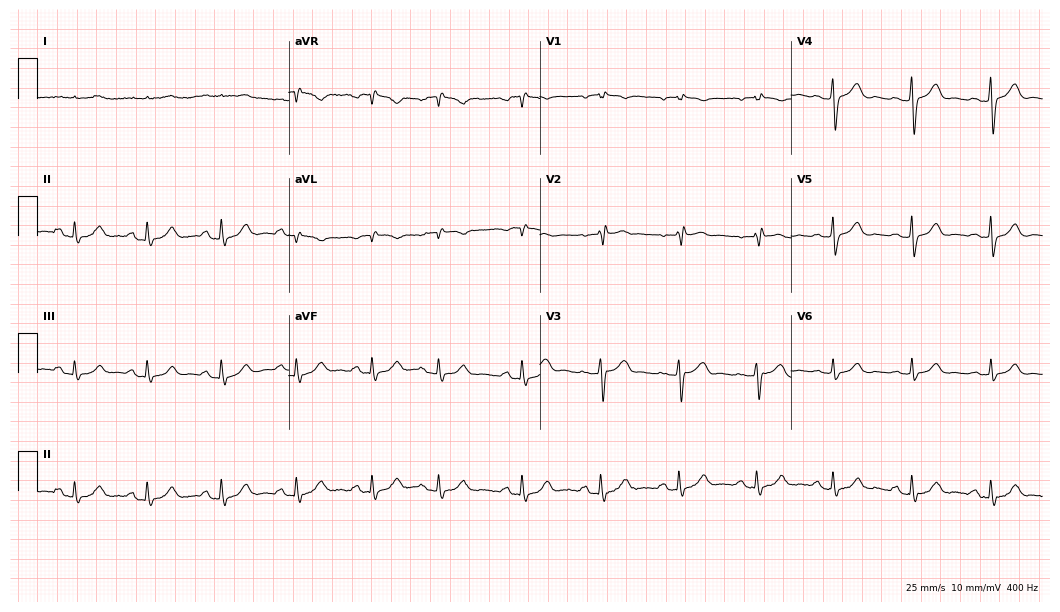
12-lead ECG from a male, 78 years old. Screened for six findings — first-degree AV block, right bundle branch block, left bundle branch block, sinus bradycardia, atrial fibrillation, sinus tachycardia — none is recorded. Findings outside these six are not listed.